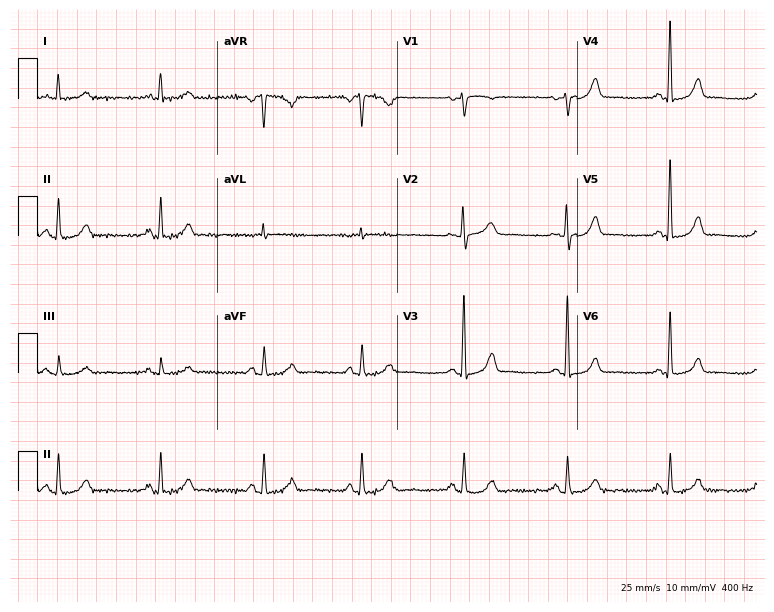
Resting 12-lead electrocardiogram (7.3-second recording at 400 Hz). Patient: a female, 70 years old. Read as a normal ECG.